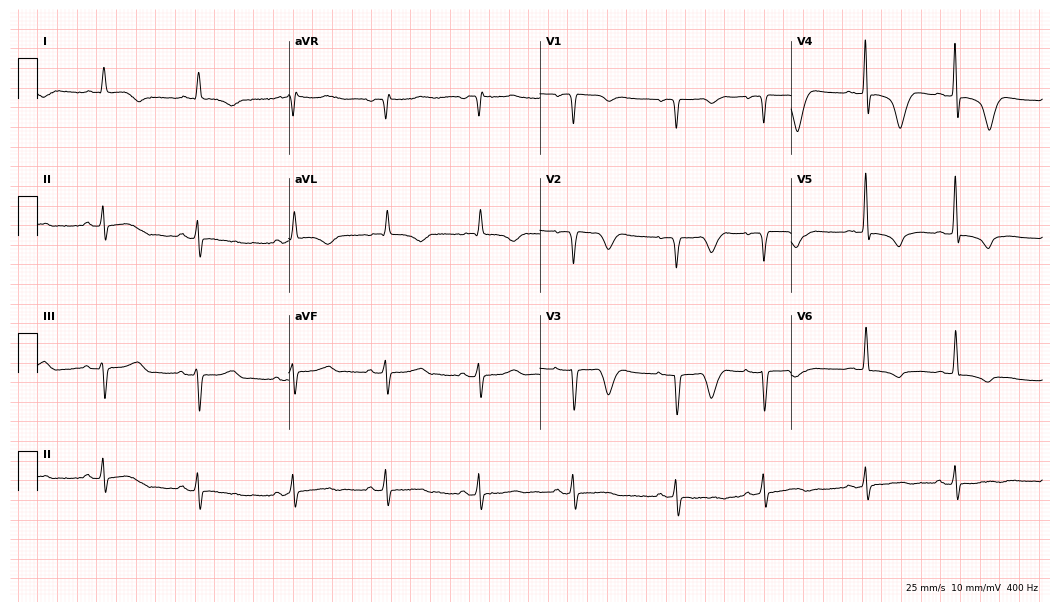
ECG (10.2-second recording at 400 Hz) — a 78-year-old female patient. Screened for six findings — first-degree AV block, right bundle branch block (RBBB), left bundle branch block (LBBB), sinus bradycardia, atrial fibrillation (AF), sinus tachycardia — none is recorded. Findings outside these six are not listed.